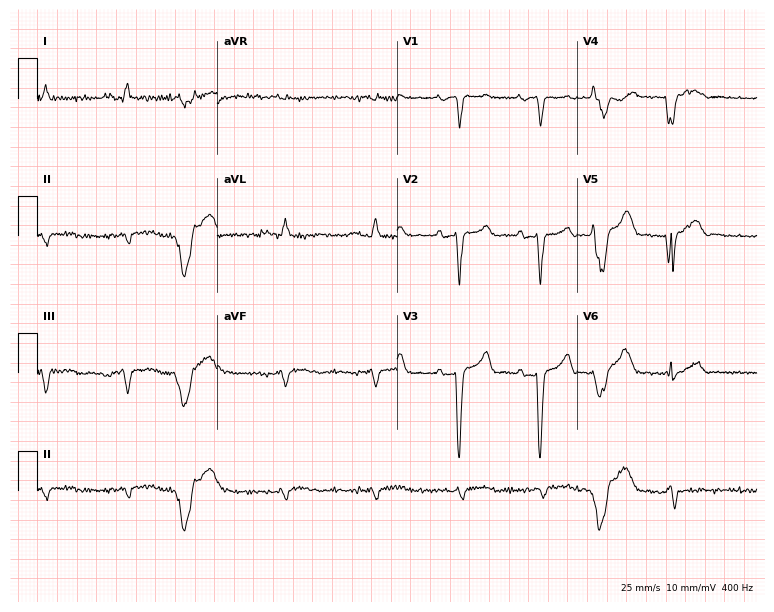
Electrocardiogram, a 57-year-old male patient. Of the six screened findings (first-degree AV block, right bundle branch block, left bundle branch block, sinus bradycardia, atrial fibrillation, sinus tachycardia), none is recorded.